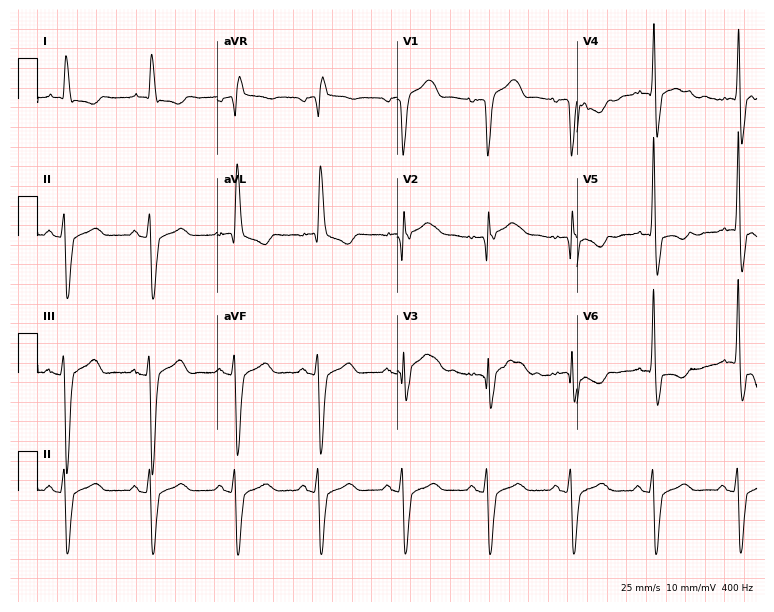
12-lead ECG (7.3-second recording at 400 Hz) from a 77-year-old male. Screened for six findings — first-degree AV block, right bundle branch block, left bundle branch block, sinus bradycardia, atrial fibrillation, sinus tachycardia — none is recorded. Only these six findings were labelled.